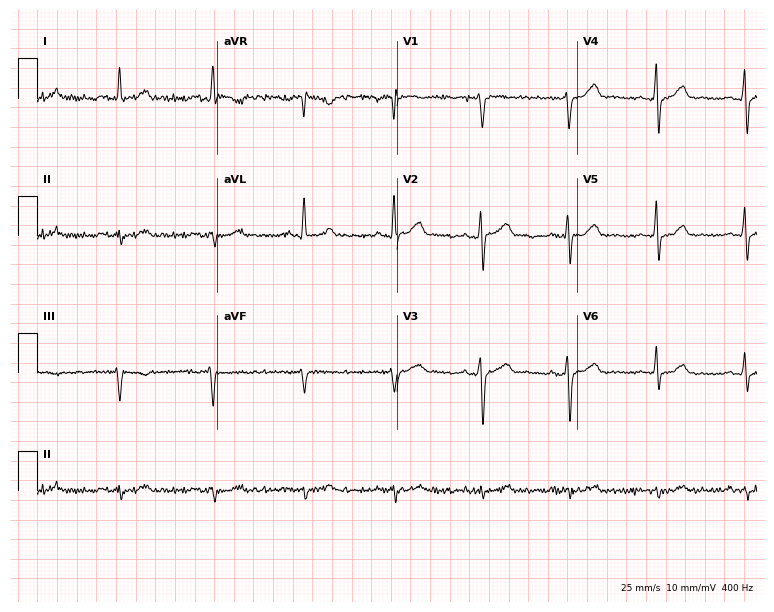
12-lead ECG from a 46-year-old male. Recorded interpretation: within normal limits.